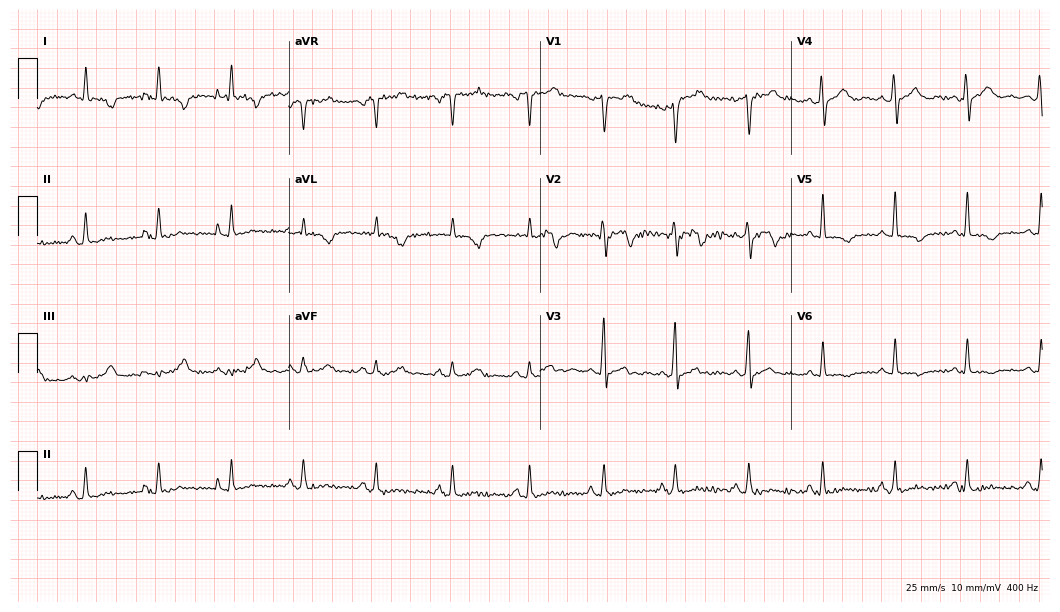
12-lead ECG (10.2-second recording at 400 Hz) from a 45-year-old male patient. Screened for six findings — first-degree AV block, right bundle branch block, left bundle branch block, sinus bradycardia, atrial fibrillation, sinus tachycardia — none is recorded.